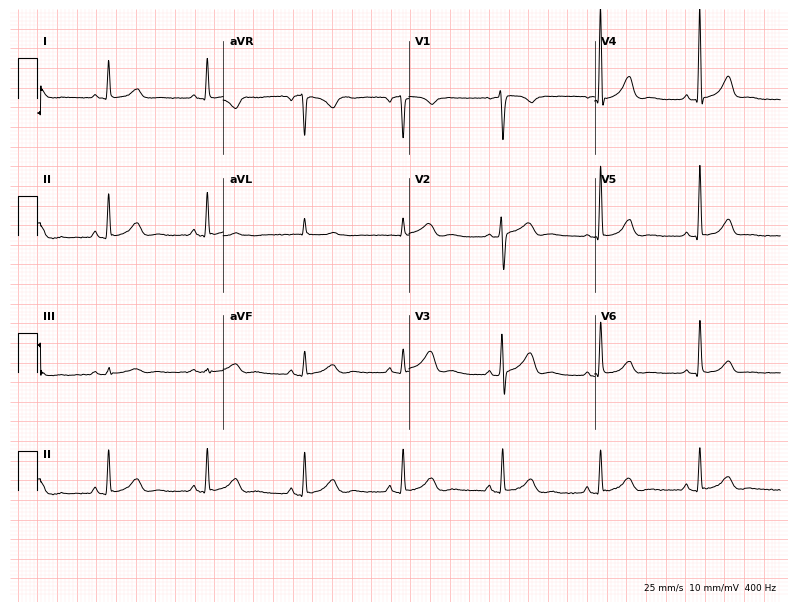
Resting 12-lead electrocardiogram. Patient: a female, 57 years old. Read as a normal ECG.